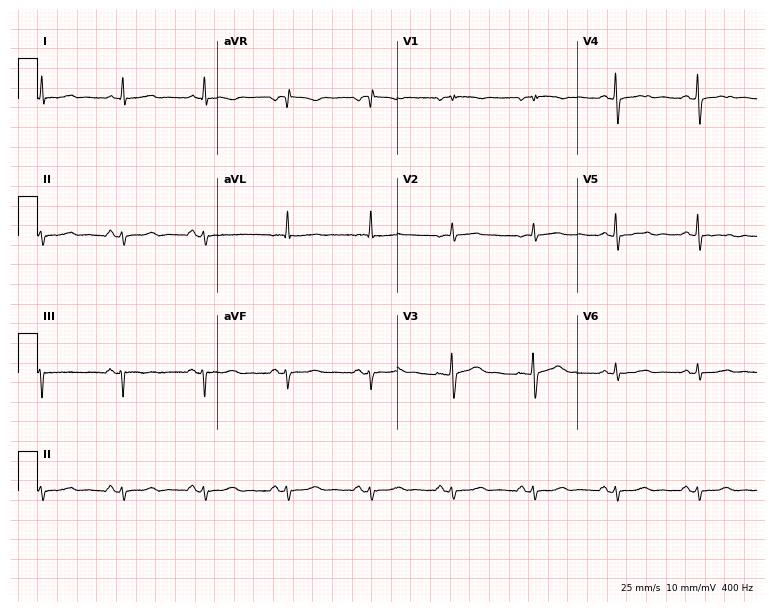
ECG (7.3-second recording at 400 Hz) — a 62-year-old female. Screened for six findings — first-degree AV block, right bundle branch block, left bundle branch block, sinus bradycardia, atrial fibrillation, sinus tachycardia — none is recorded. Other findings, if any, are not listed.